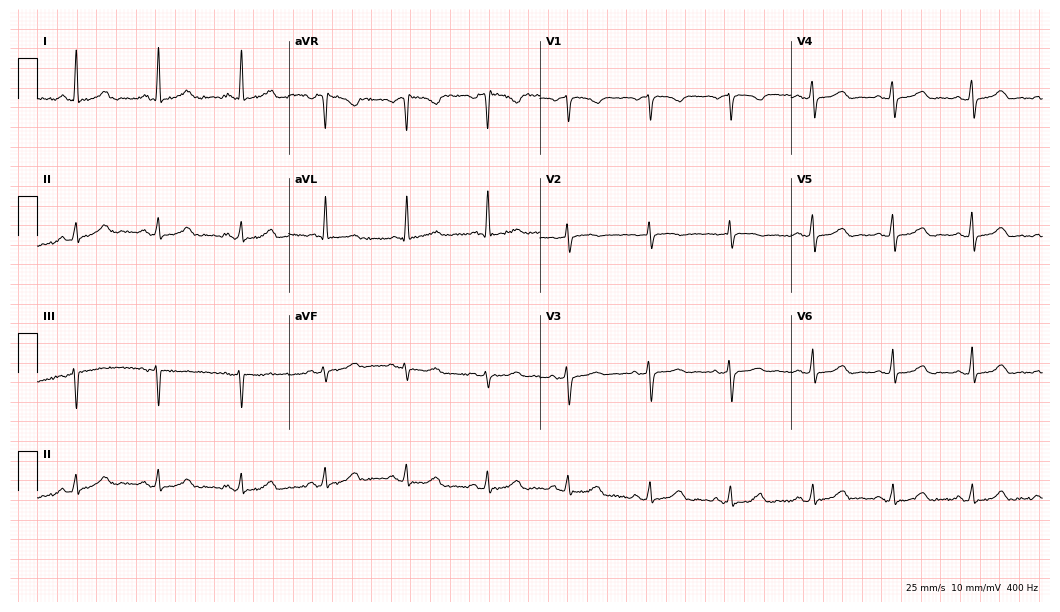
12-lead ECG (10.2-second recording at 400 Hz) from a 63-year-old woman. Screened for six findings — first-degree AV block, right bundle branch block (RBBB), left bundle branch block (LBBB), sinus bradycardia, atrial fibrillation (AF), sinus tachycardia — none is recorded. Findings outside these six are not listed.